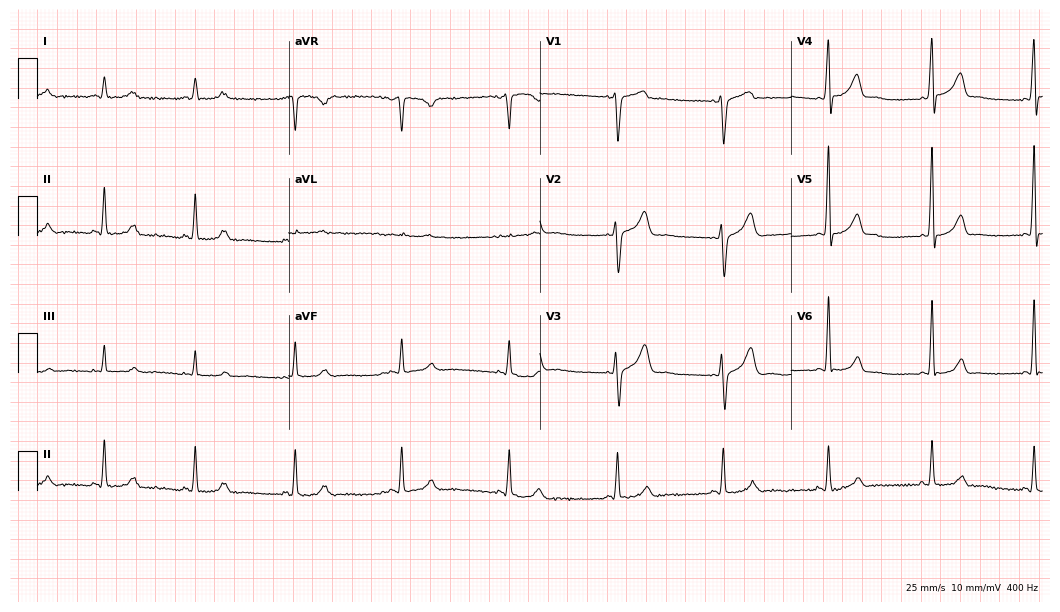
Resting 12-lead electrocardiogram (10.2-second recording at 400 Hz). Patient: a 39-year-old female. None of these six findings is recorded: first-degree AV block, right bundle branch block, left bundle branch block, sinus bradycardia, atrial fibrillation, sinus tachycardia.